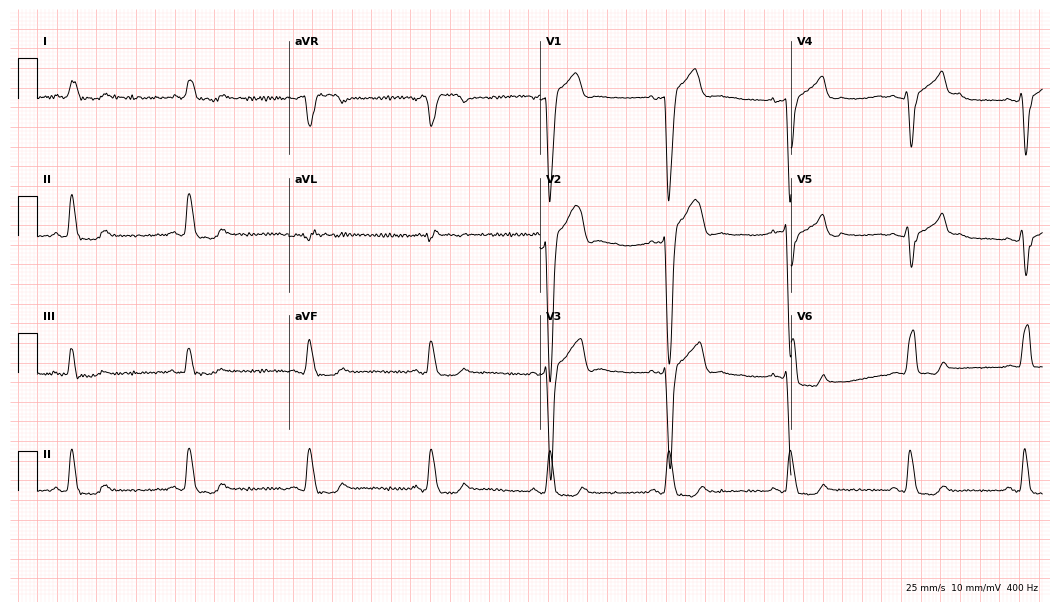
12-lead ECG from a male, 47 years old. Findings include left bundle branch block (LBBB), sinus bradycardia (a sinus rate of 50 beats per minute or less).